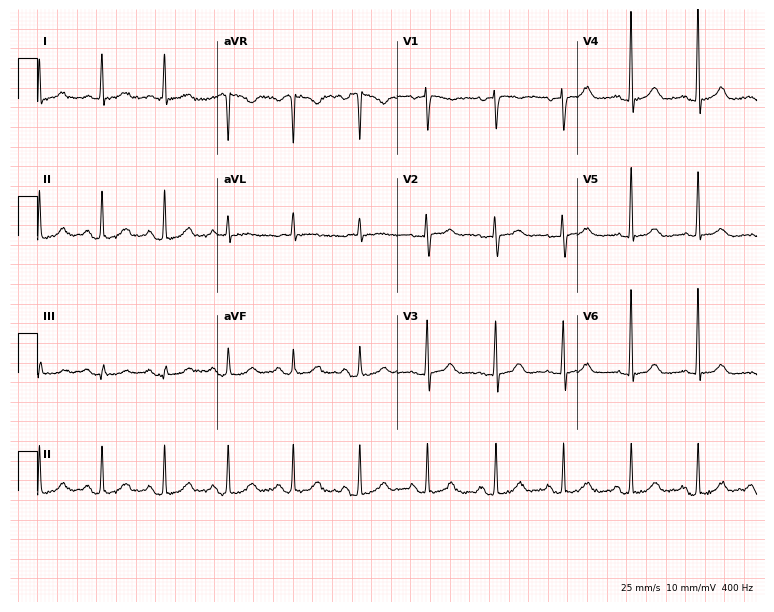
12-lead ECG (7.3-second recording at 400 Hz) from a 68-year-old female. Labelled as a normal ECG.